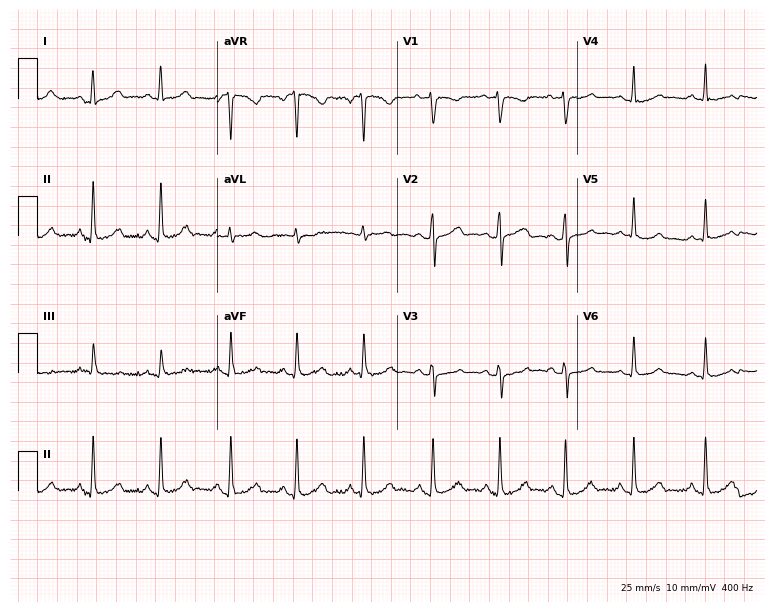
ECG — a female patient, 29 years old. Labelled as a normal ECG.